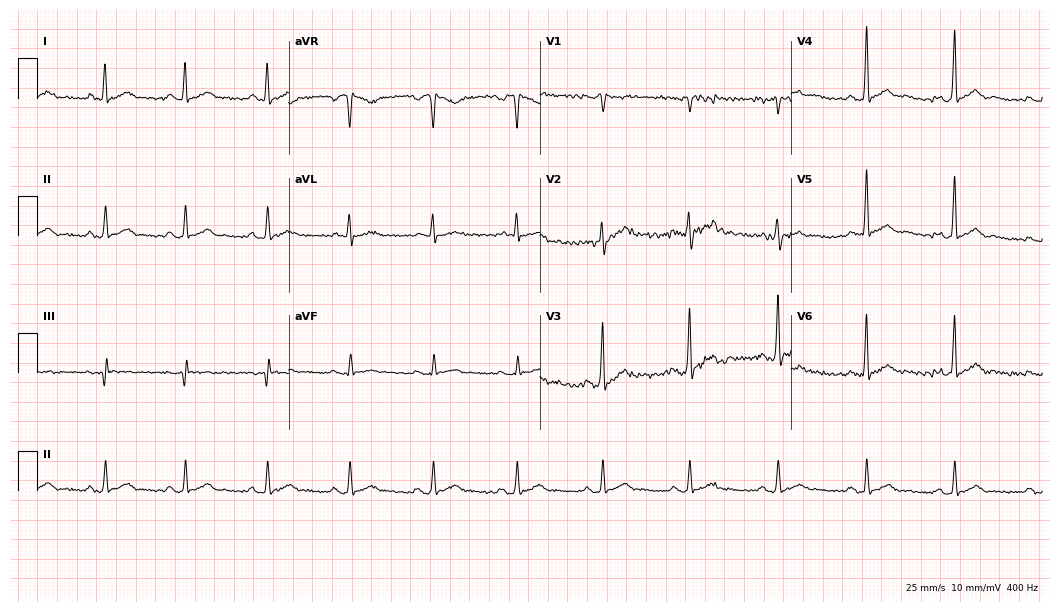
Electrocardiogram, a 46-year-old man. Of the six screened findings (first-degree AV block, right bundle branch block, left bundle branch block, sinus bradycardia, atrial fibrillation, sinus tachycardia), none is recorded. Other findings, if any, are not listed.